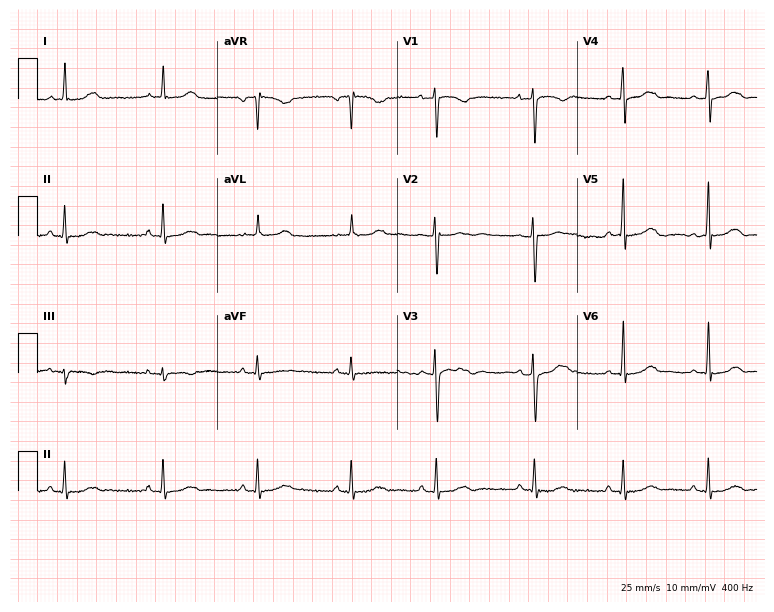
Electrocardiogram, a 39-year-old female. Overall reading on record: normal ECG.